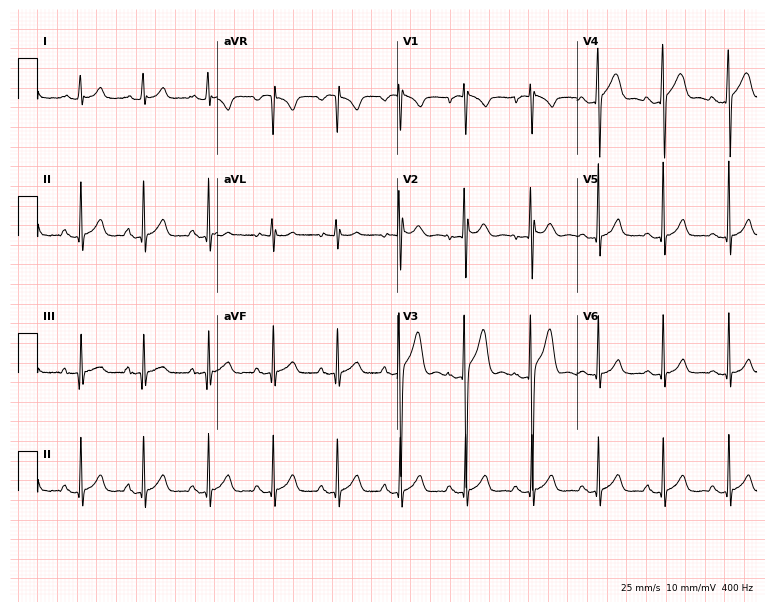
Electrocardiogram (7.3-second recording at 400 Hz), an 18-year-old male patient. Overall reading on record: normal ECG.